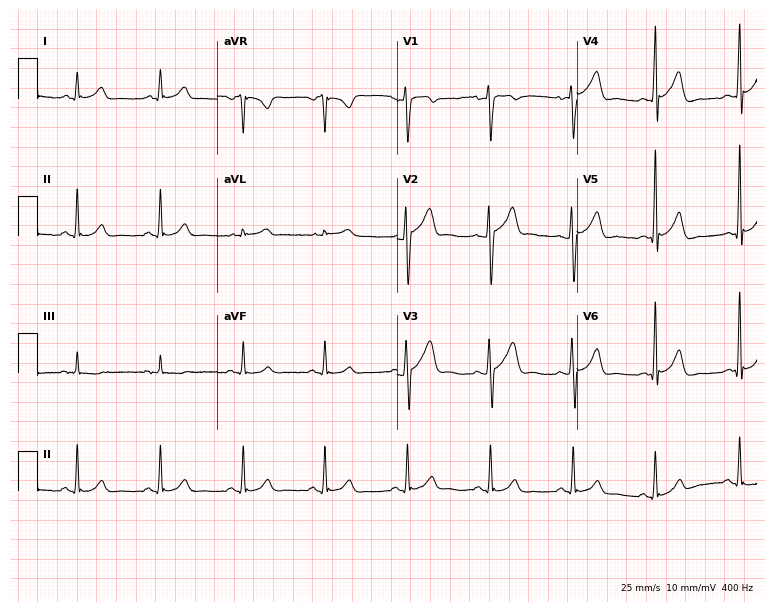
ECG — a man, 35 years old. Labelled as a normal ECG.